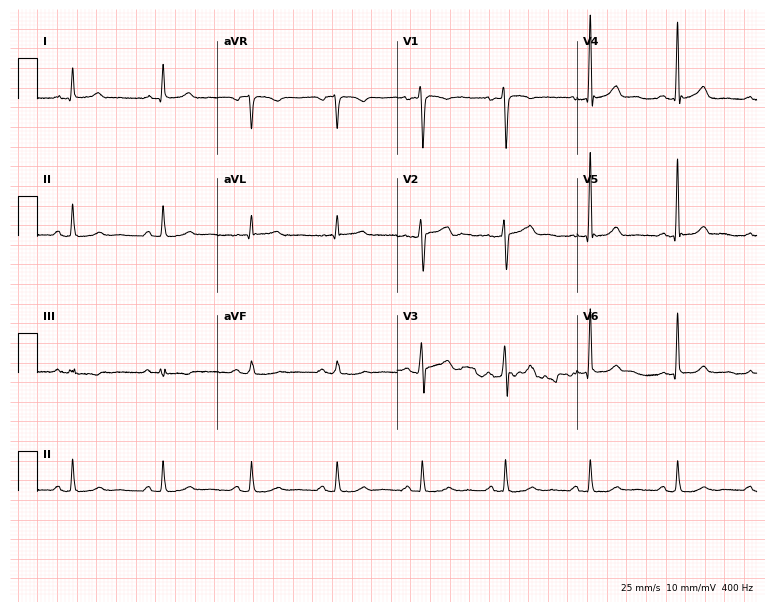
Resting 12-lead electrocardiogram (7.3-second recording at 400 Hz). Patient: a 67-year-old man. None of these six findings is recorded: first-degree AV block, right bundle branch block, left bundle branch block, sinus bradycardia, atrial fibrillation, sinus tachycardia.